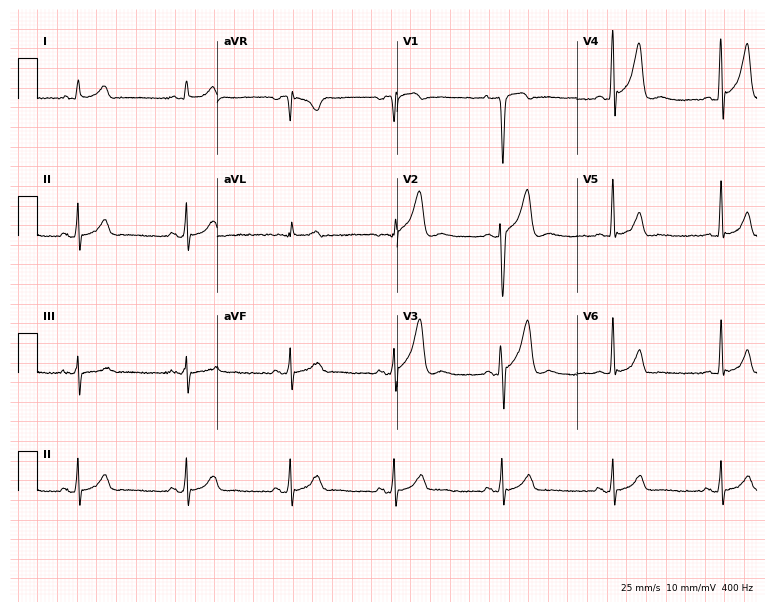
ECG (7.3-second recording at 400 Hz) — a 32-year-old male. Screened for six findings — first-degree AV block, right bundle branch block, left bundle branch block, sinus bradycardia, atrial fibrillation, sinus tachycardia — none is recorded.